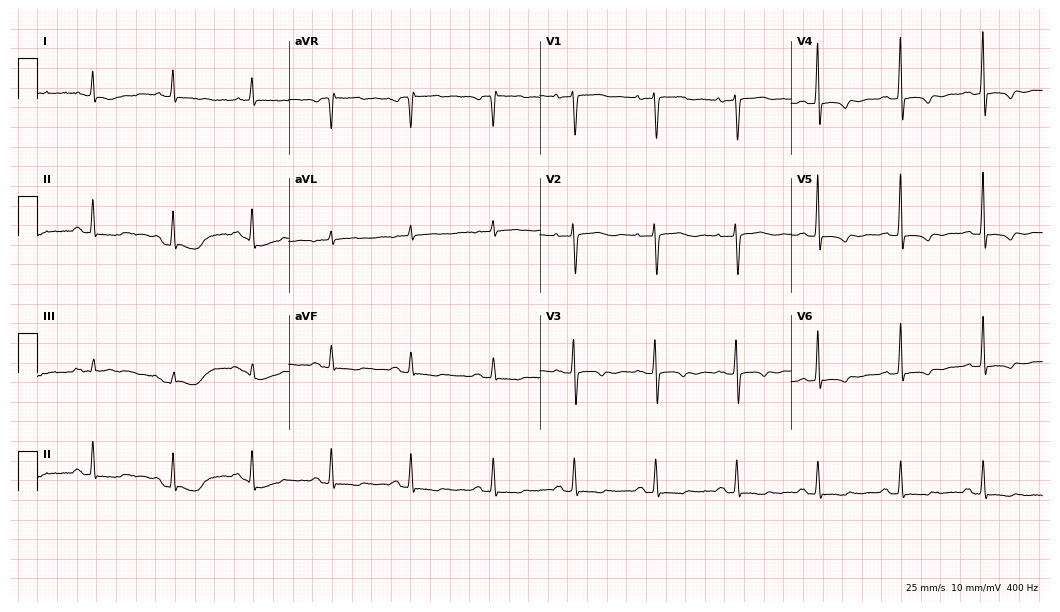
Electrocardiogram (10.2-second recording at 400 Hz), a 58-year-old woman. Of the six screened findings (first-degree AV block, right bundle branch block, left bundle branch block, sinus bradycardia, atrial fibrillation, sinus tachycardia), none is recorded.